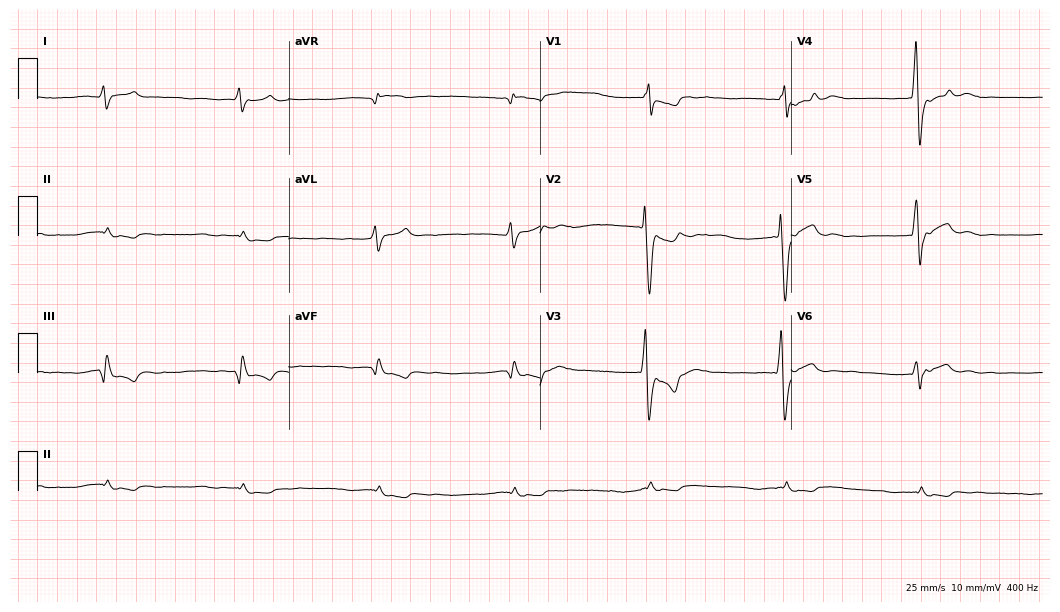
Resting 12-lead electrocardiogram (10.2-second recording at 400 Hz). Patient: a 73-year-old man. None of these six findings is recorded: first-degree AV block, right bundle branch block (RBBB), left bundle branch block (LBBB), sinus bradycardia, atrial fibrillation (AF), sinus tachycardia. Other findings, if any, are not listed.